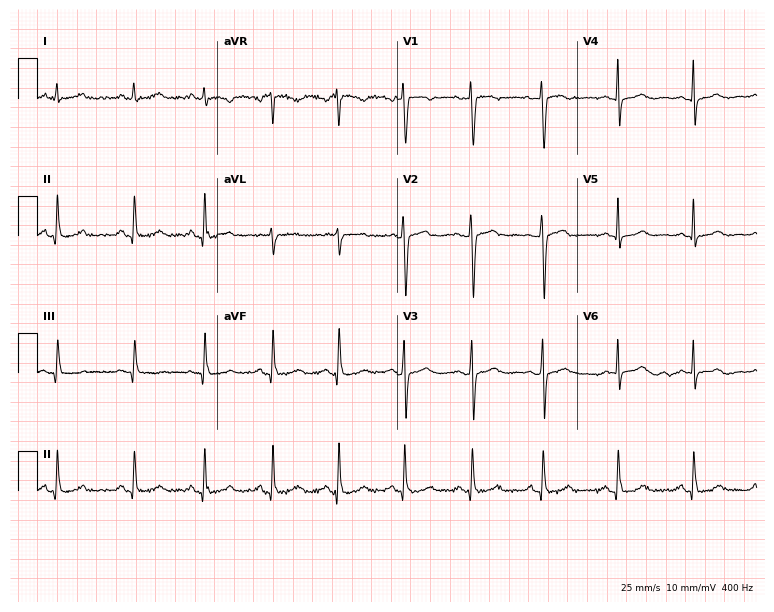
ECG — a 30-year-old female. Labelled as a normal ECG.